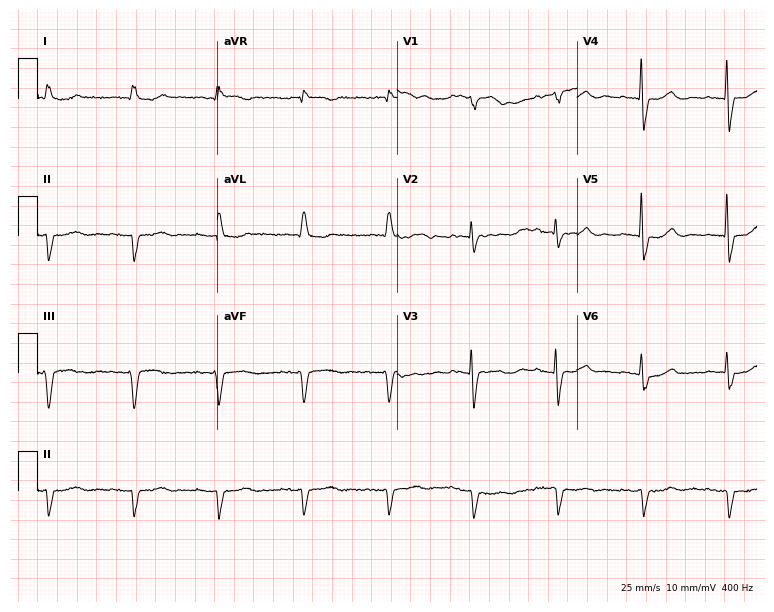
Electrocardiogram (7.3-second recording at 400 Hz), a man, 85 years old. Of the six screened findings (first-degree AV block, right bundle branch block, left bundle branch block, sinus bradycardia, atrial fibrillation, sinus tachycardia), none is recorded.